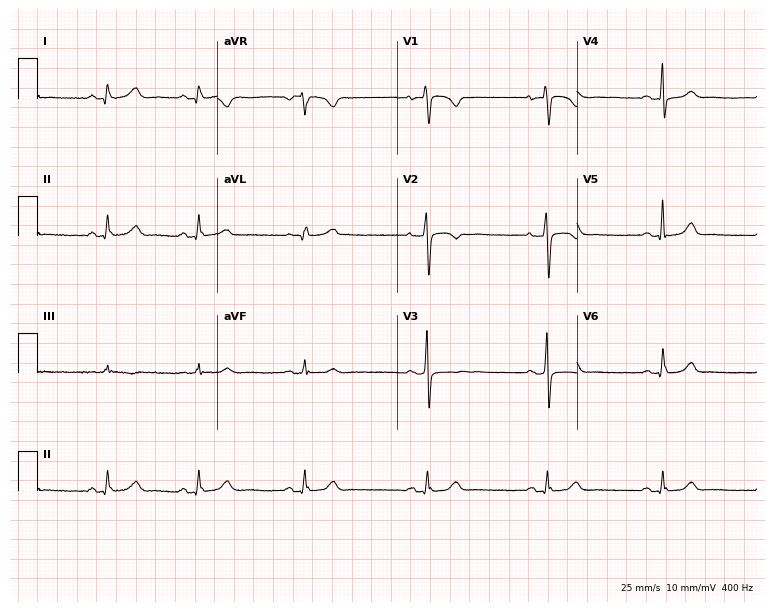
Electrocardiogram, a woman, 54 years old. Overall reading on record: normal ECG.